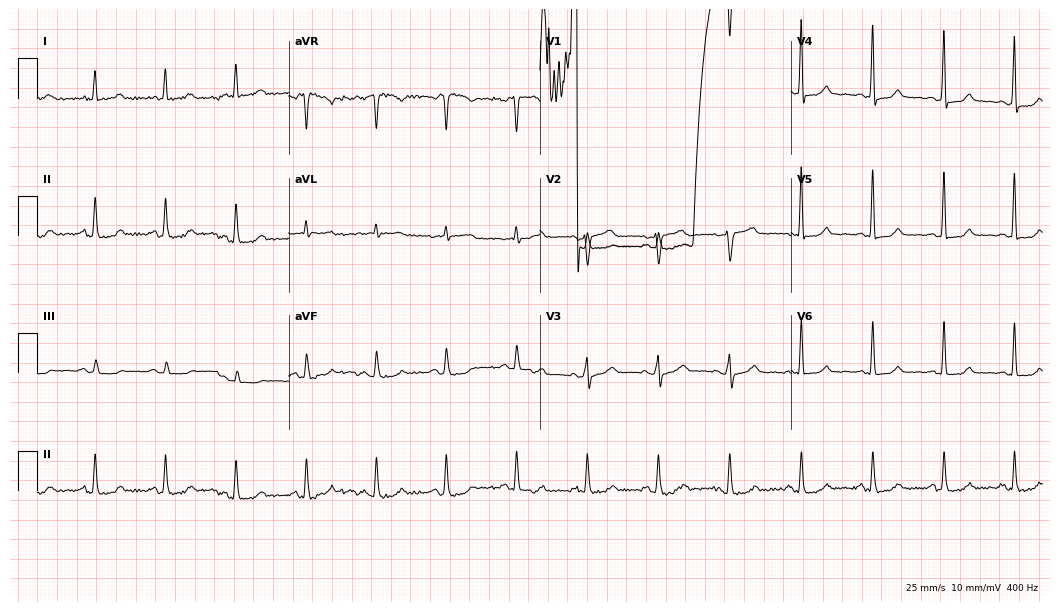
ECG (10.2-second recording at 400 Hz) — a woman, 45 years old. Screened for six findings — first-degree AV block, right bundle branch block (RBBB), left bundle branch block (LBBB), sinus bradycardia, atrial fibrillation (AF), sinus tachycardia — none is recorded. Findings outside these six are not listed.